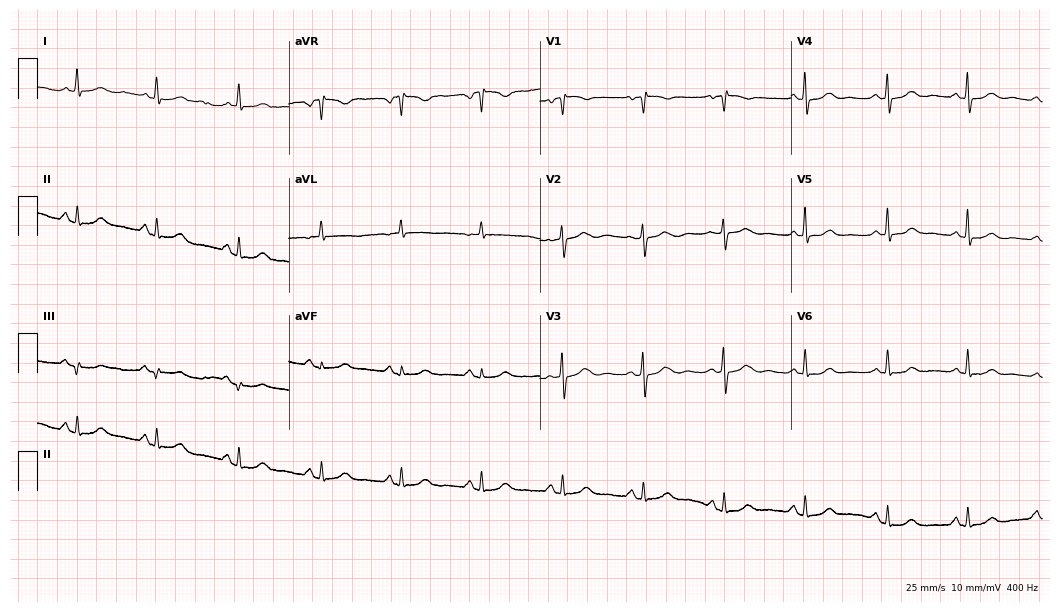
12-lead ECG from a 76-year-old female patient. Recorded interpretation: within normal limits.